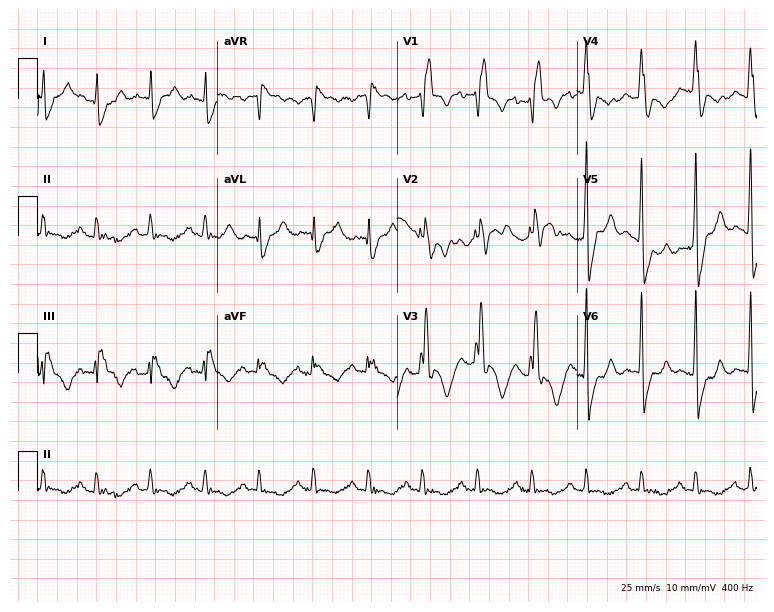
Standard 12-lead ECG recorded from a male patient, 83 years old (7.3-second recording at 400 Hz). The tracing shows right bundle branch block (RBBB), sinus tachycardia (a sinus rate of 100 beats per minute or more).